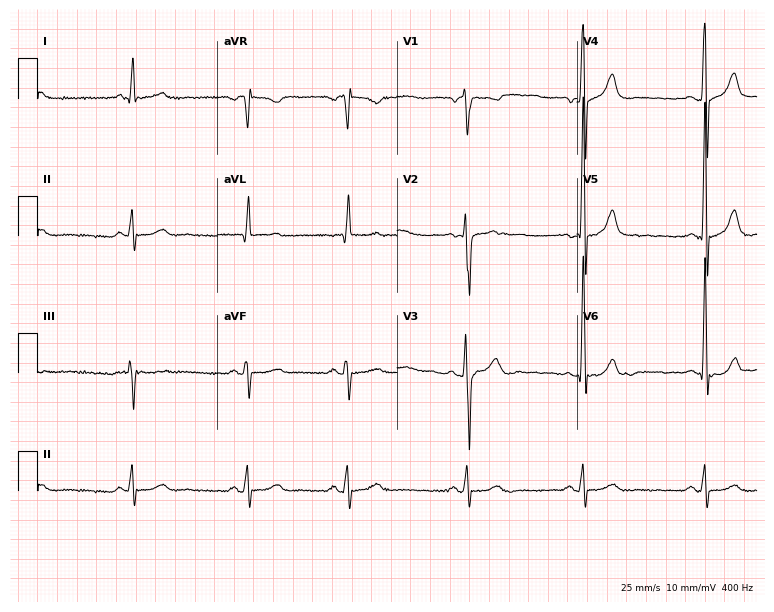
Standard 12-lead ECG recorded from a 61-year-old male (7.3-second recording at 400 Hz). The tracing shows sinus bradycardia (a sinus rate of 50 beats per minute or less).